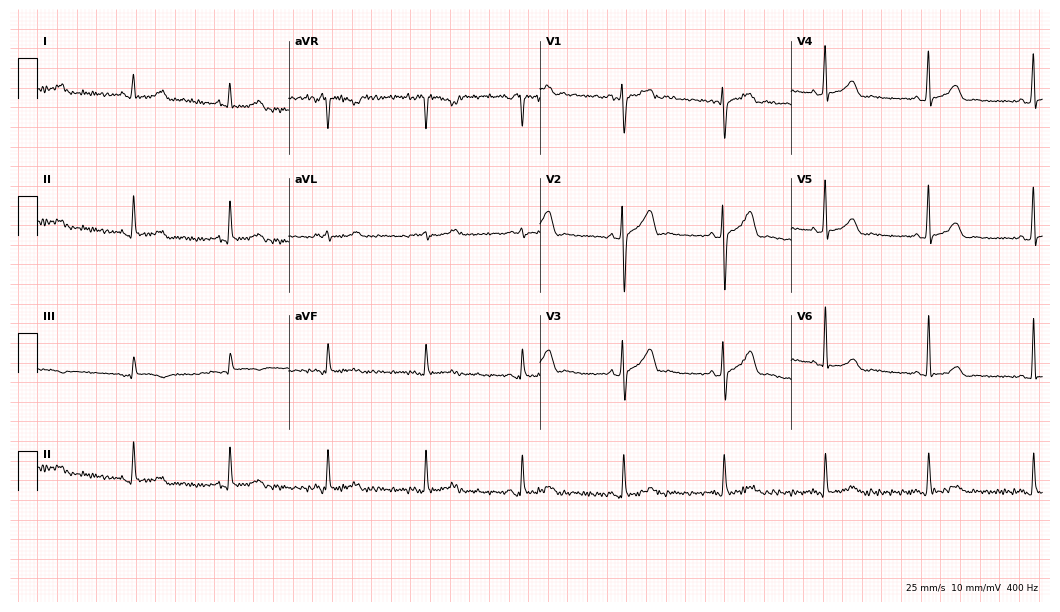
Standard 12-lead ECG recorded from a 46-year-old female (10.2-second recording at 400 Hz). Read as a normal ECG.